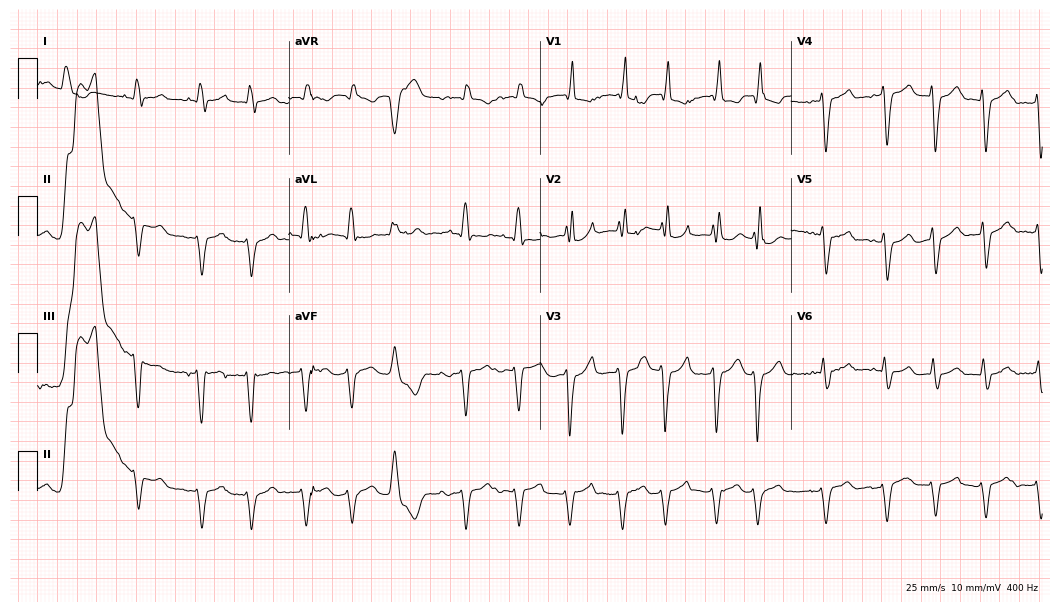
12-lead ECG from a male patient, 82 years old. No first-degree AV block, right bundle branch block, left bundle branch block, sinus bradycardia, atrial fibrillation or sinus tachycardia recorded for this tracing.